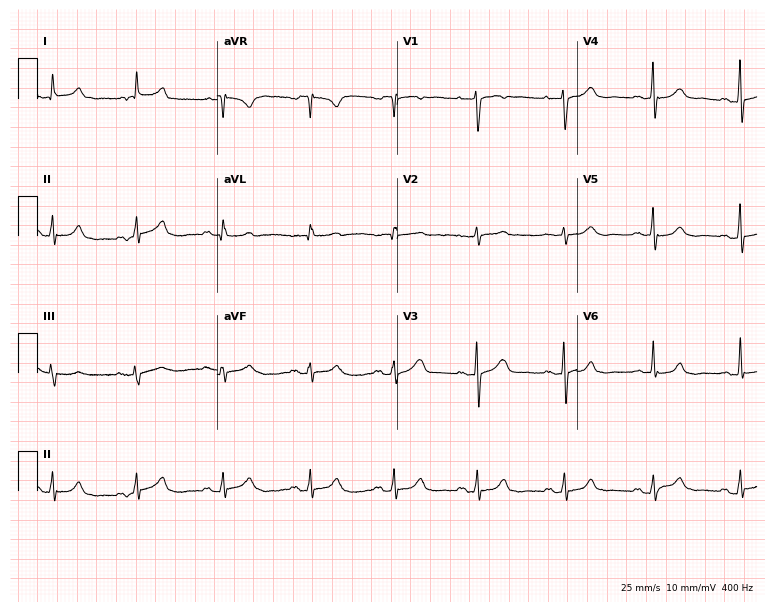
12-lead ECG from a 46-year-old woman. Recorded interpretation: within normal limits.